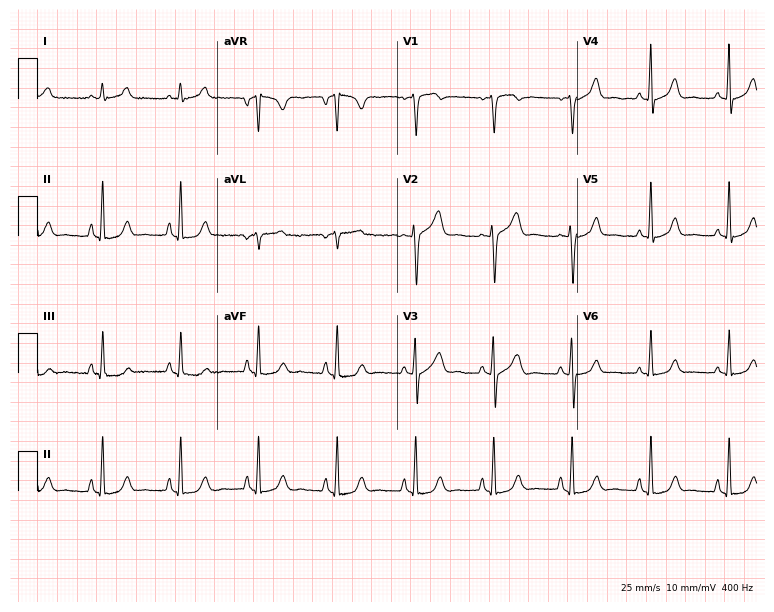
12-lead ECG from a 52-year-old male patient. No first-degree AV block, right bundle branch block (RBBB), left bundle branch block (LBBB), sinus bradycardia, atrial fibrillation (AF) or sinus tachycardia recorded for this tracing. Other findings, if any, are not listed.